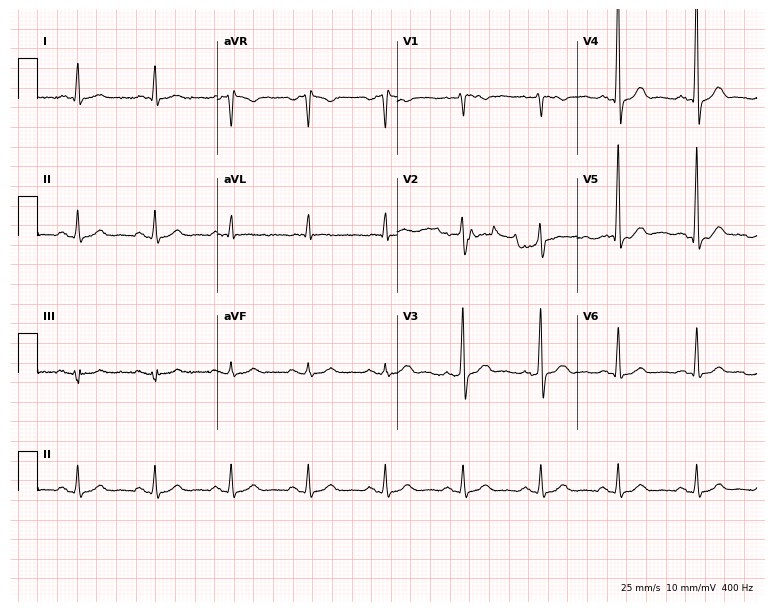
ECG — a 63-year-old male patient. Labelled as a normal ECG.